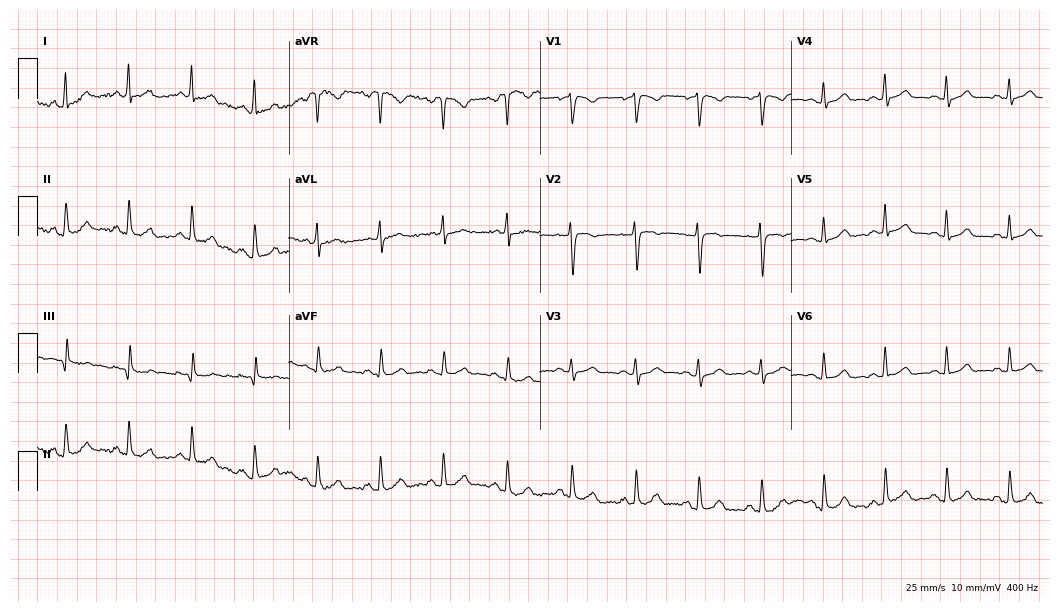
Standard 12-lead ECG recorded from a 40-year-old woman (10.2-second recording at 400 Hz). Read as a normal ECG.